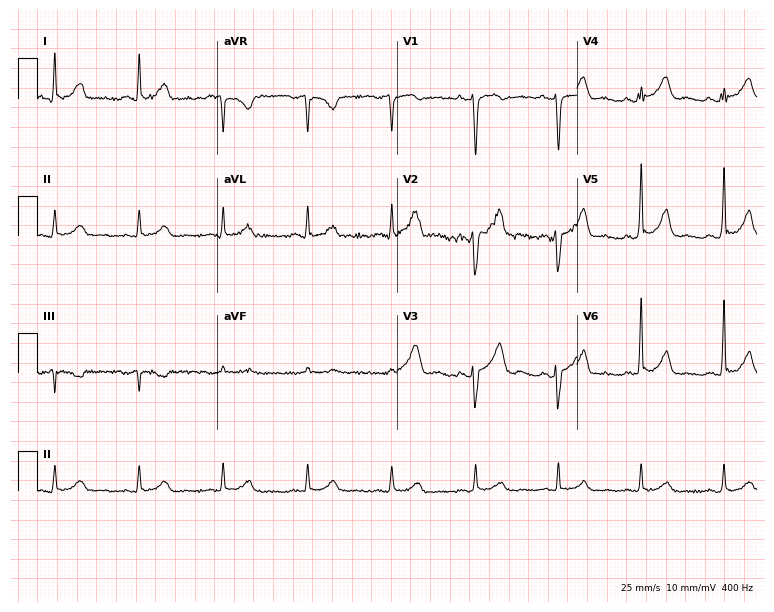
Electrocardiogram (7.3-second recording at 400 Hz), a female, 47 years old. Overall reading on record: normal ECG.